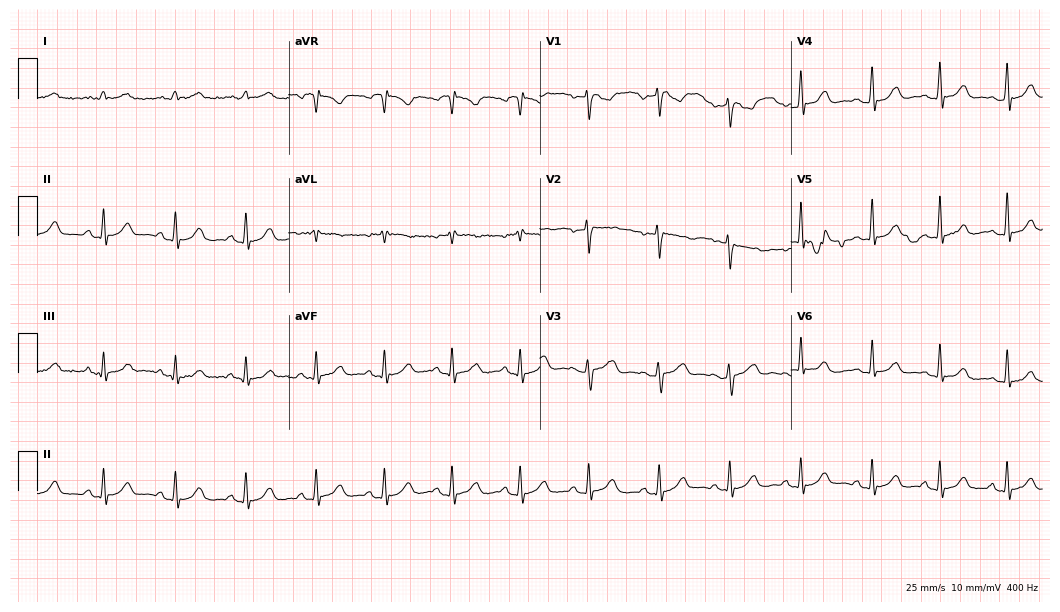
Electrocardiogram, a 51-year-old woman. Of the six screened findings (first-degree AV block, right bundle branch block (RBBB), left bundle branch block (LBBB), sinus bradycardia, atrial fibrillation (AF), sinus tachycardia), none is recorded. Other findings, if any, are not listed.